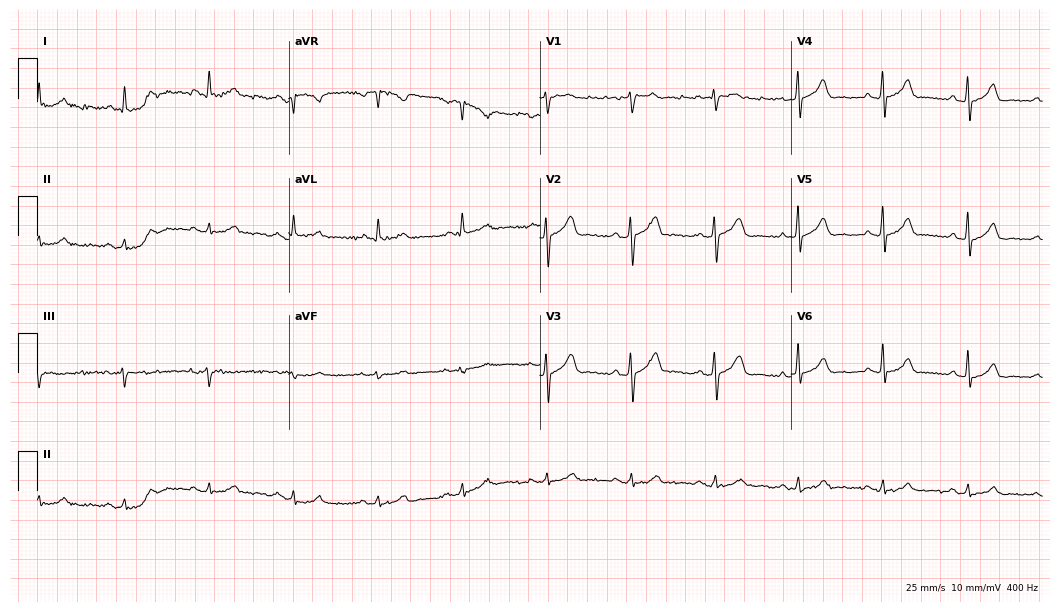
Standard 12-lead ECG recorded from a 61-year-old male (10.2-second recording at 400 Hz). Read as a normal ECG.